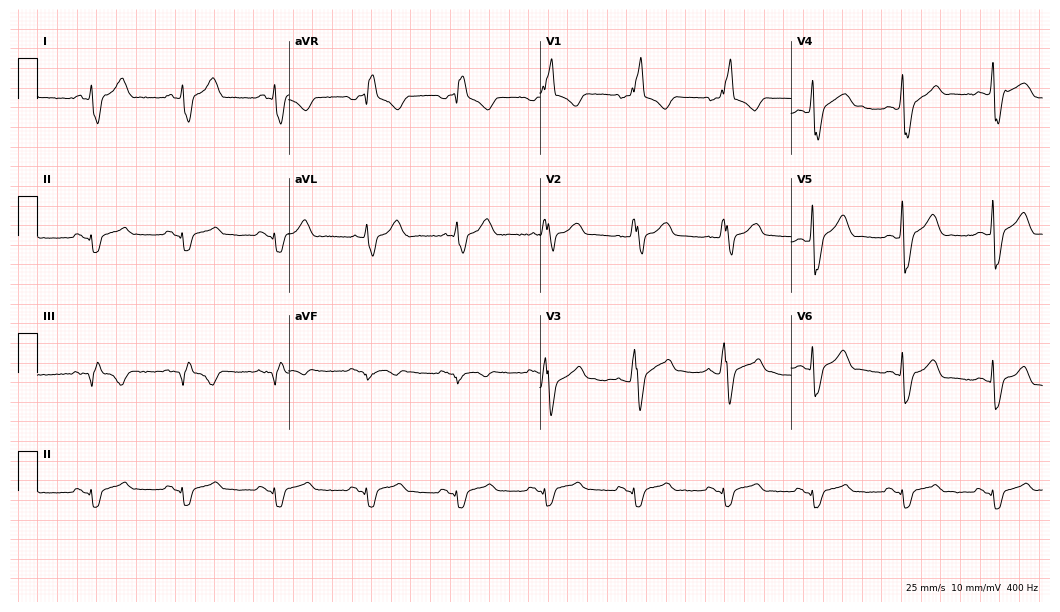
Standard 12-lead ECG recorded from a male, 34 years old (10.2-second recording at 400 Hz). The tracing shows right bundle branch block (RBBB).